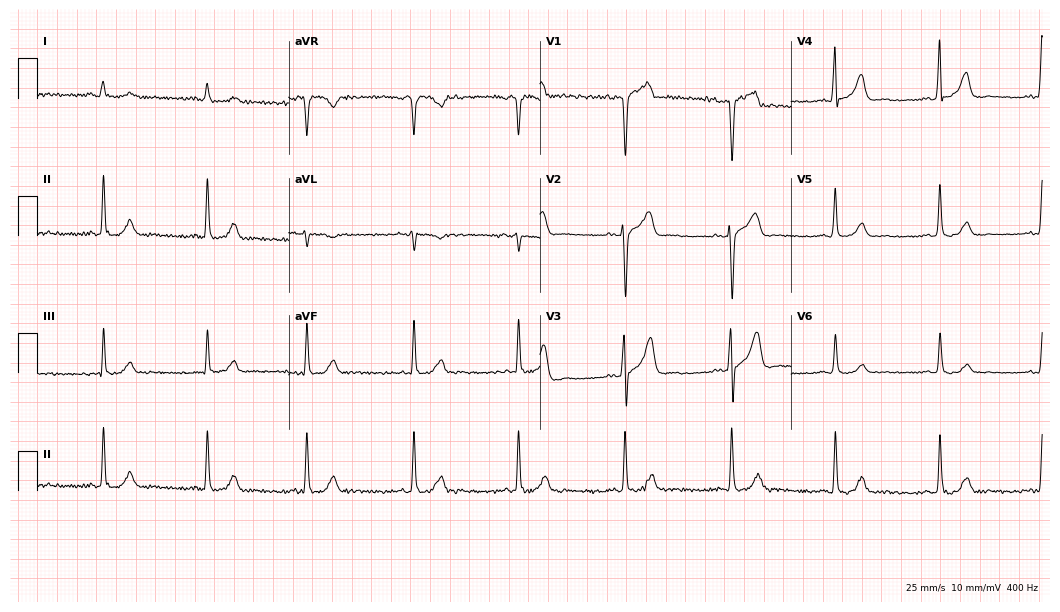
12-lead ECG from a 72-year-old male. Screened for six findings — first-degree AV block, right bundle branch block, left bundle branch block, sinus bradycardia, atrial fibrillation, sinus tachycardia — none is recorded.